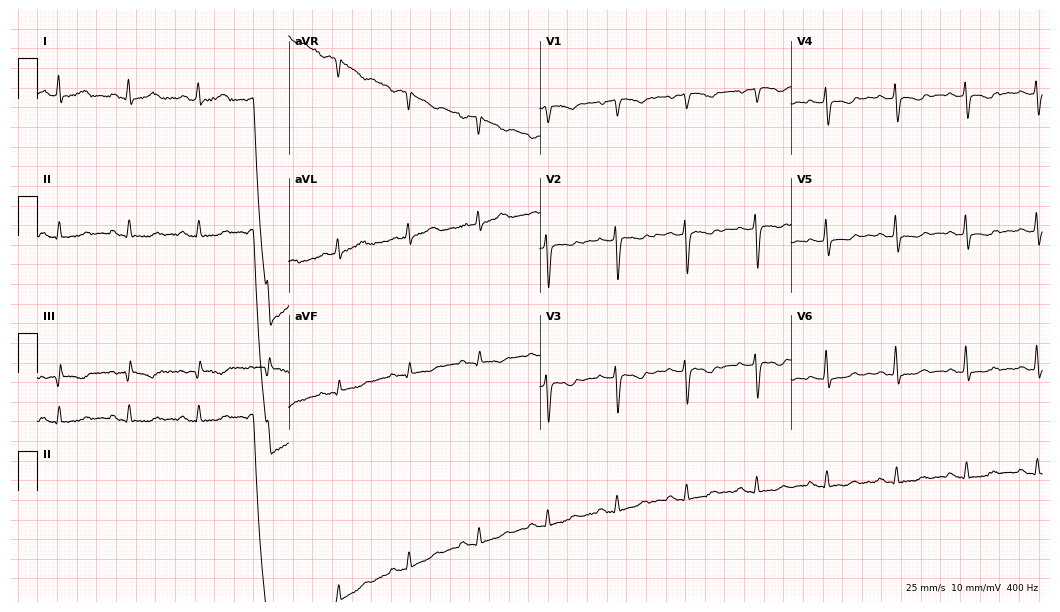
ECG (10.2-second recording at 400 Hz) — a female, 51 years old. Screened for six findings — first-degree AV block, right bundle branch block (RBBB), left bundle branch block (LBBB), sinus bradycardia, atrial fibrillation (AF), sinus tachycardia — none is recorded. Findings outside these six are not listed.